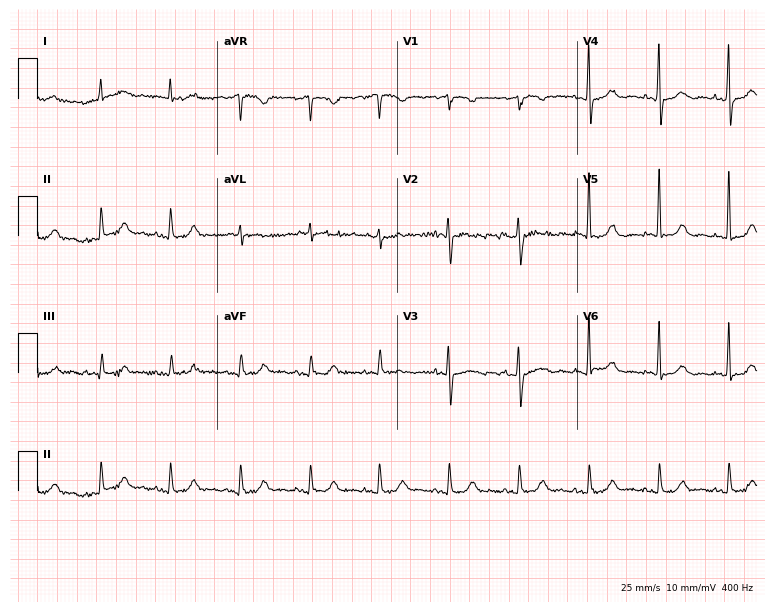
Resting 12-lead electrocardiogram (7.3-second recording at 400 Hz). Patient: an 83-year-old female. Read as a normal ECG.